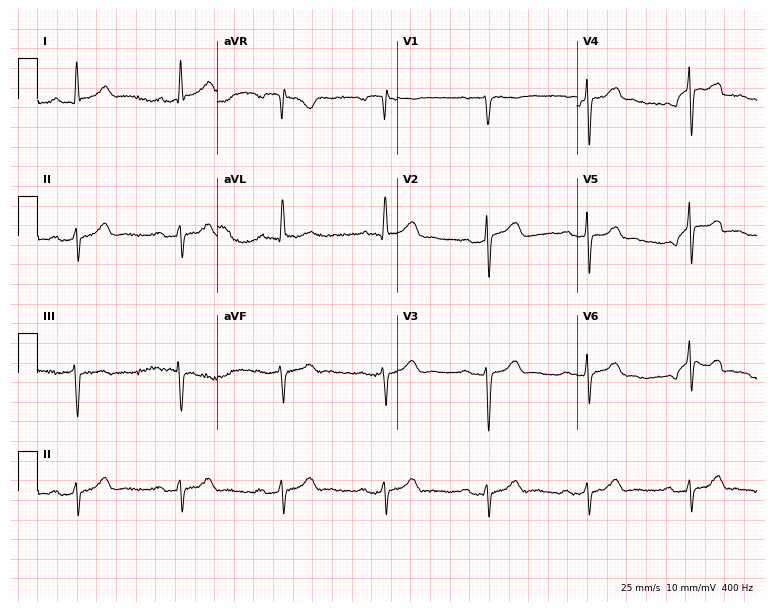
Standard 12-lead ECG recorded from a woman, 66 years old (7.3-second recording at 400 Hz). None of these six findings is recorded: first-degree AV block, right bundle branch block, left bundle branch block, sinus bradycardia, atrial fibrillation, sinus tachycardia. Findings outside these six are not listed.